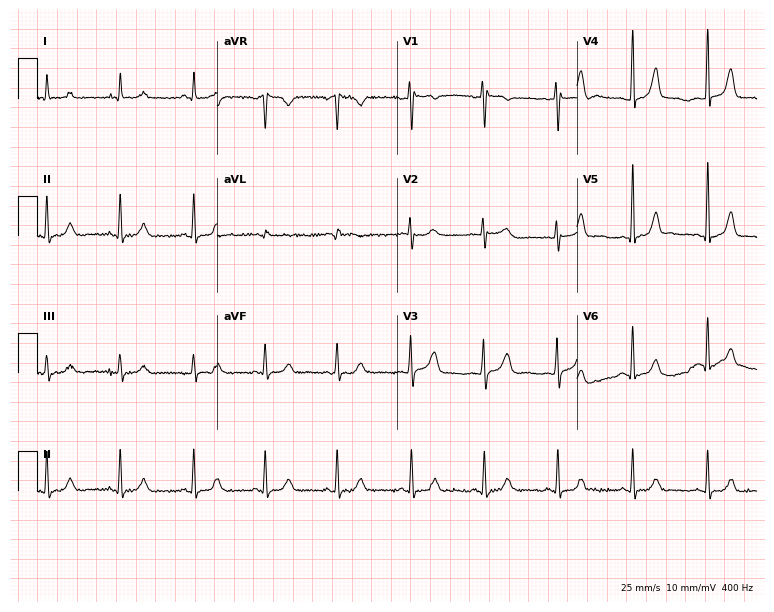
12-lead ECG from a 38-year-old female (7.3-second recording at 400 Hz). Recorded interpretation: within normal limits.